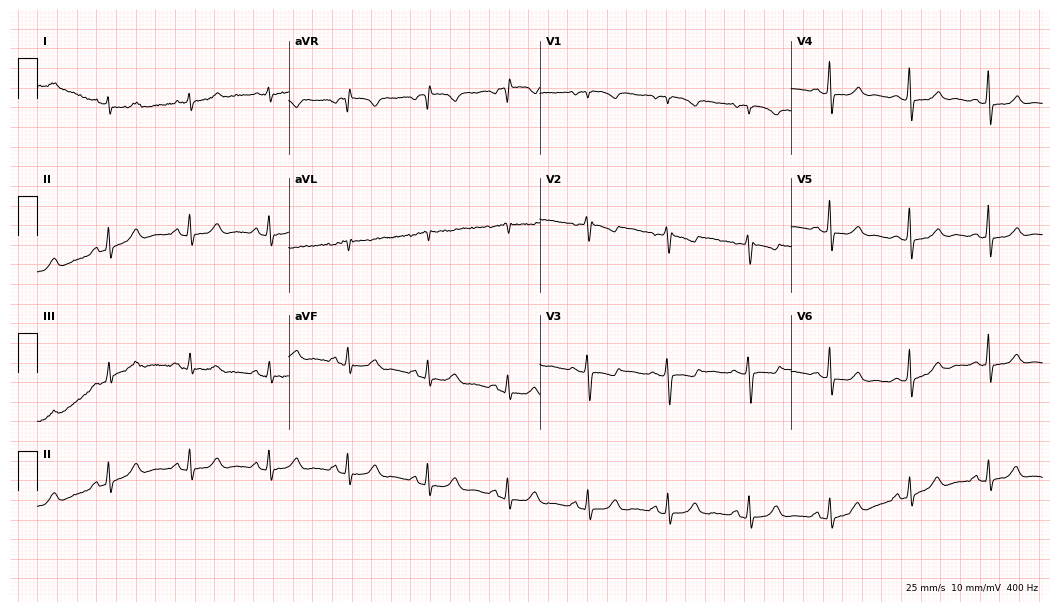
12-lead ECG from a 54-year-old female patient. Screened for six findings — first-degree AV block, right bundle branch block, left bundle branch block, sinus bradycardia, atrial fibrillation, sinus tachycardia — none is recorded.